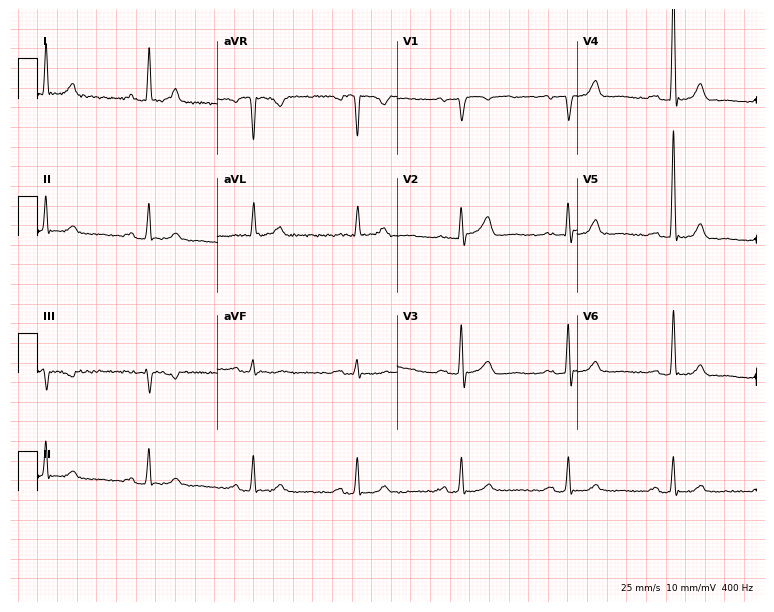
ECG (7.3-second recording at 400 Hz) — a 73-year-old male. Screened for six findings — first-degree AV block, right bundle branch block, left bundle branch block, sinus bradycardia, atrial fibrillation, sinus tachycardia — none is recorded. Only these six findings were labelled.